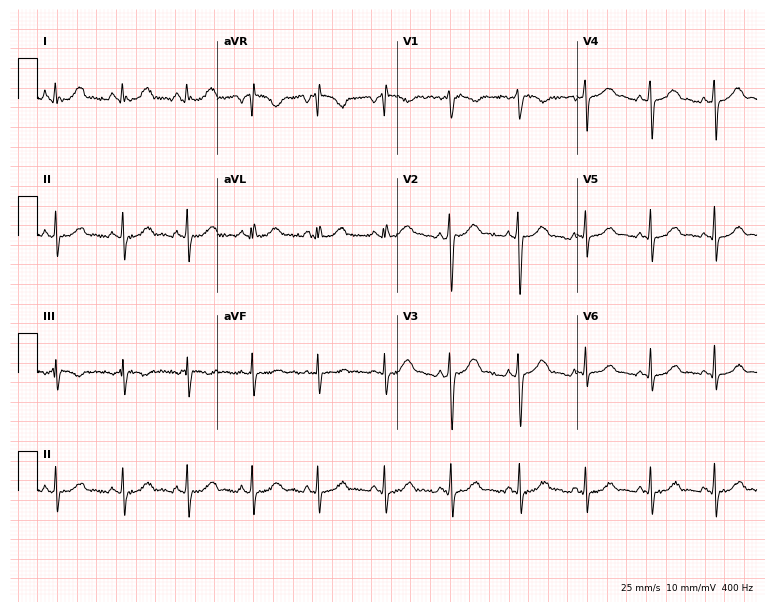
Standard 12-lead ECG recorded from a female, 36 years old (7.3-second recording at 400 Hz). Read as a normal ECG.